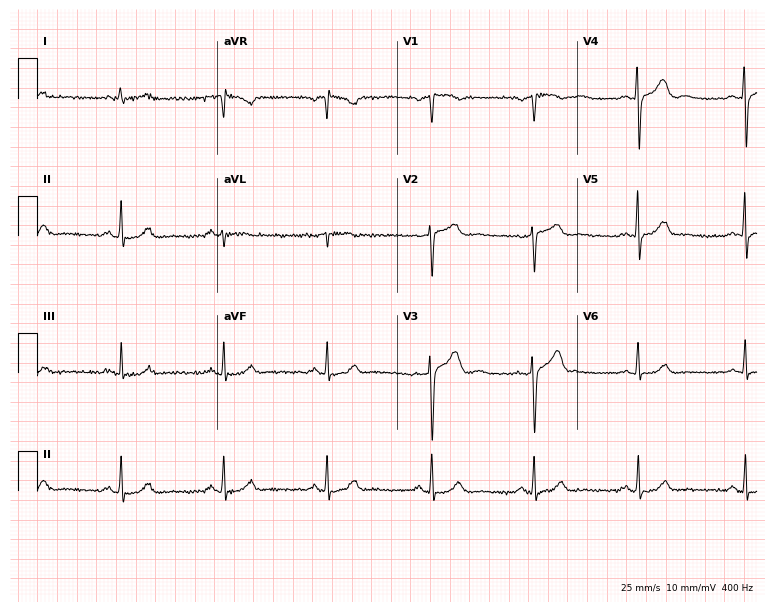
12-lead ECG from a 59-year-old man. Labelled as a normal ECG.